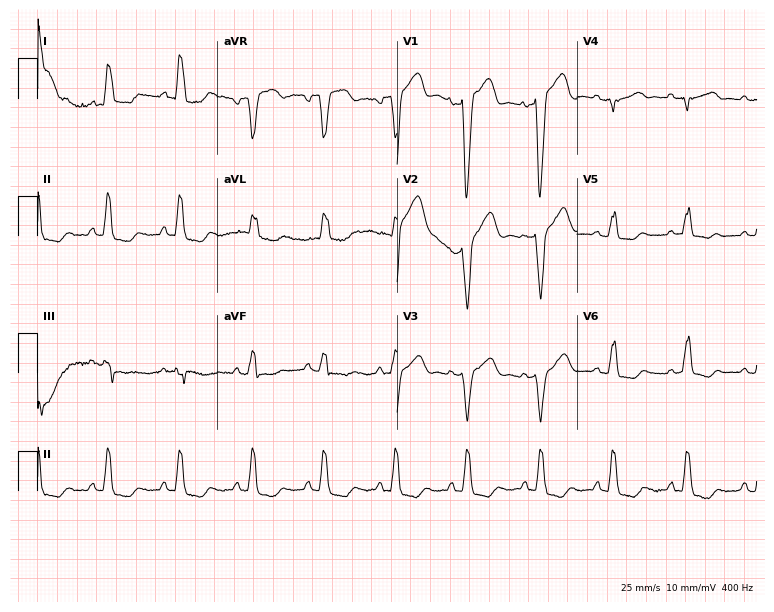
12-lead ECG from a 76-year-old female patient. Shows left bundle branch block (LBBB).